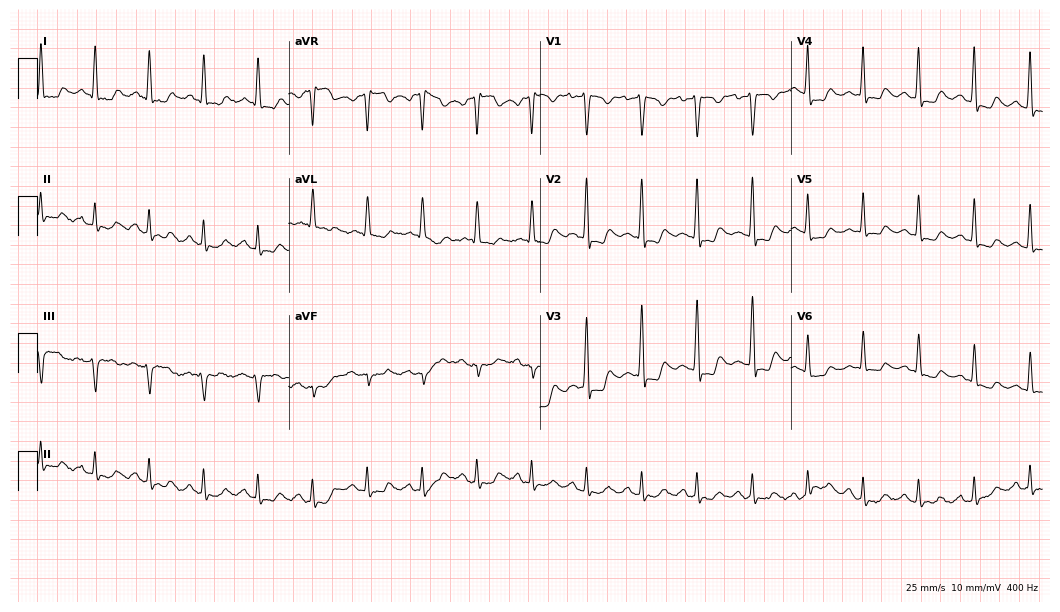
Resting 12-lead electrocardiogram. Patient: a female, 61 years old. None of these six findings is recorded: first-degree AV block, right bundle branch block, left bundle branch block, sinus bradycardia, atrial fibrillation, sinus tachycardia. Other findings, if any, are not listed.